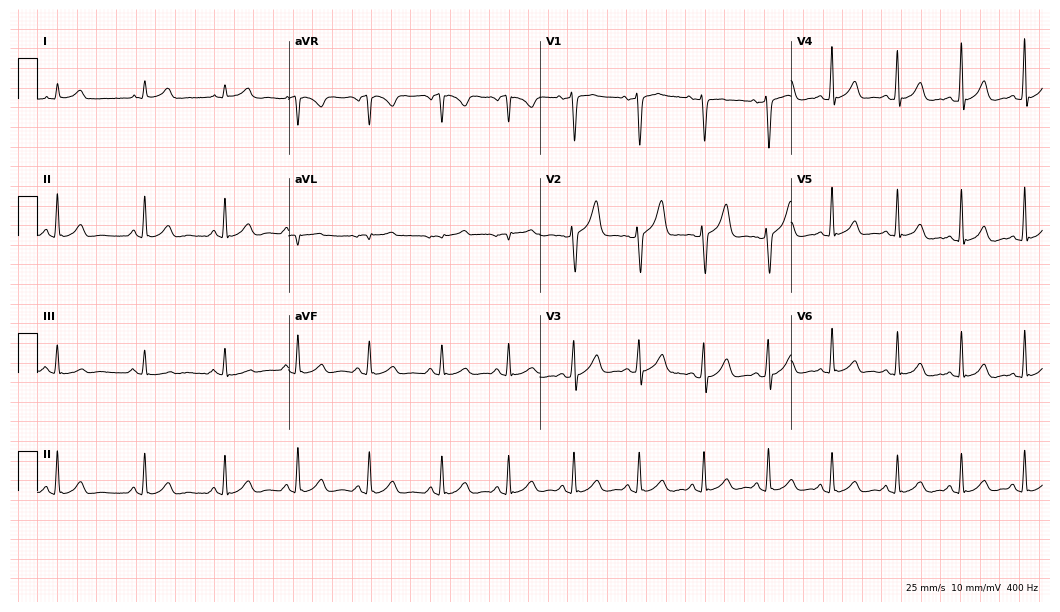
ECG (10.2-second recording at 400 Hz) — a woman, 36 years old. Labelled as a normal ECG.